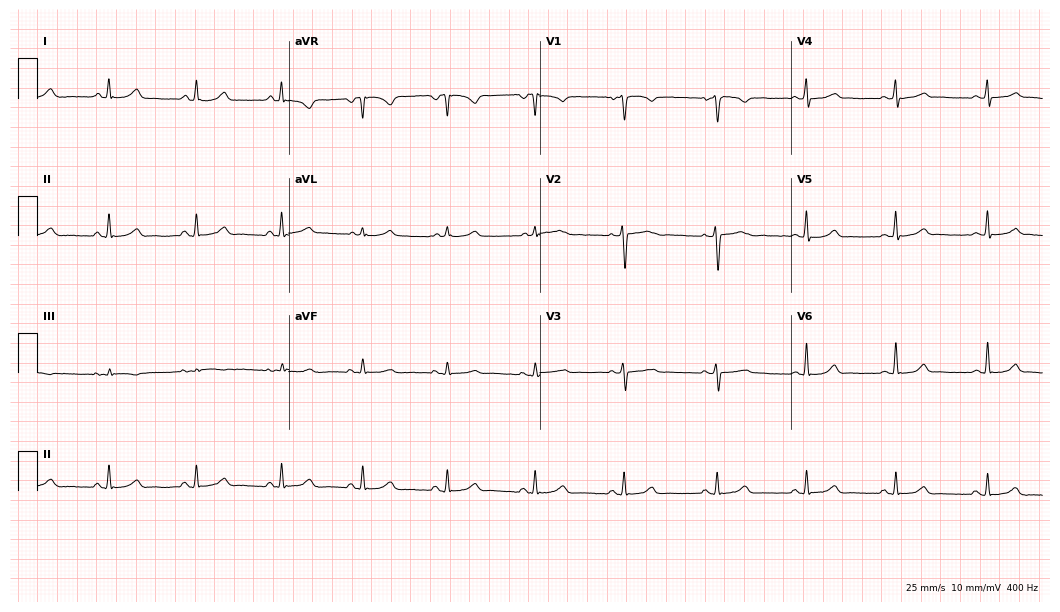
Electrocardiogram (10.2-second recording at 400 Hz), a female patient, 47 years old. Overall reading on record: normal ECG.